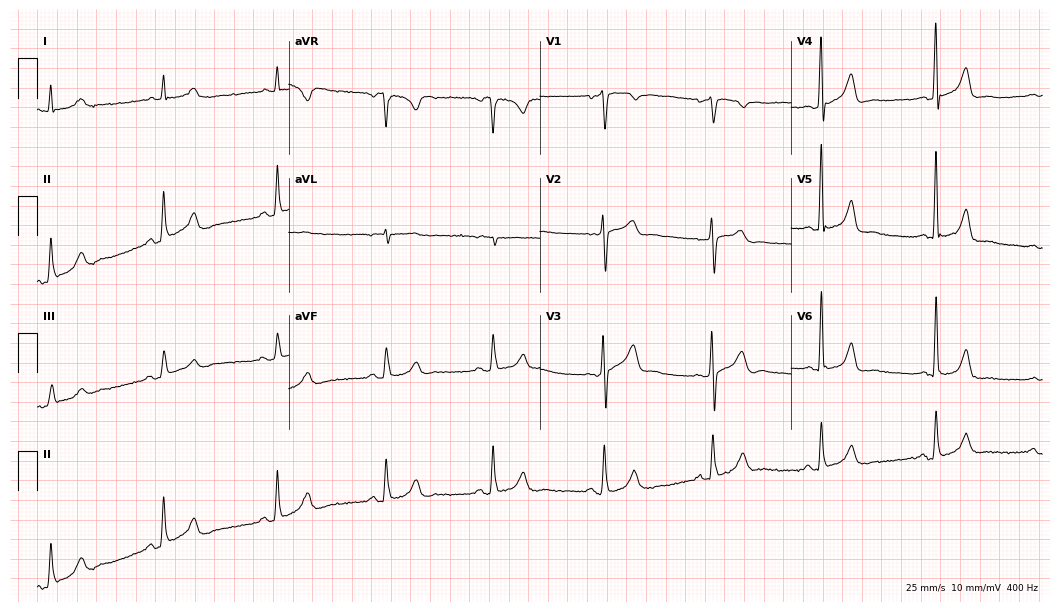
Standard 12-lead ECG recorded from a 68-year-old male patient. Read as a normal ECG.